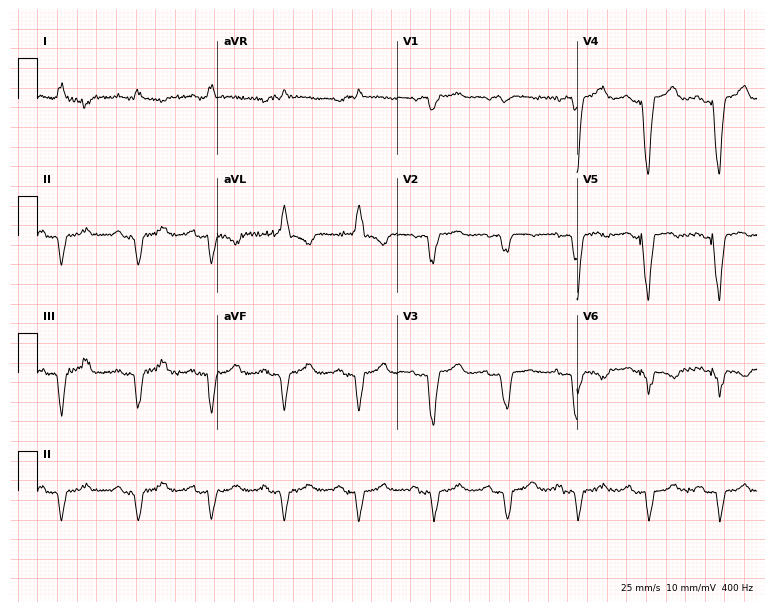
Standard 12-lead ECG recorded from an 84-year-old woman. None of these six findings is recorded: first-degree AV block, right bundle branch block, left bundle branch block, sinus bradycardia, atrial fibrillation, sinus tachycardia.